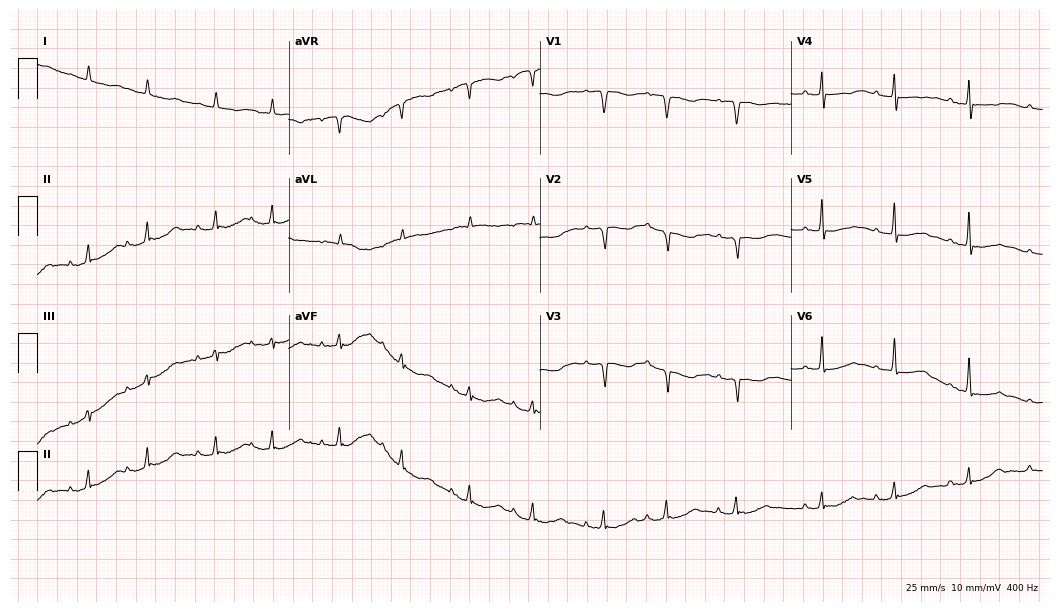
Standard 12-lead ECG recorded from an 81-year-old female patient. None of these six findings is recorded: first-degree AV block, right bundle branch block, left bundle branch block, sinus bradycardia, atrial fibrillation, sinus tachycardia.